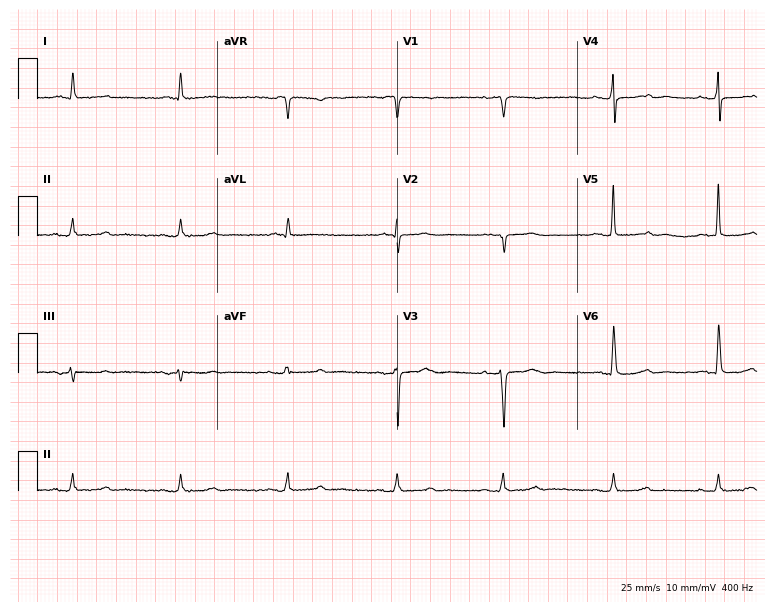
Standard 12-lead ECG recorded from a 70-year-old female (7.3-second recording at 400 Hz). None of these six findings is recorded: first-degree AV block, right bundle branch block, left bundle branch block, sinus bradycardia, atrial fibrillation, sinus tachycardia.